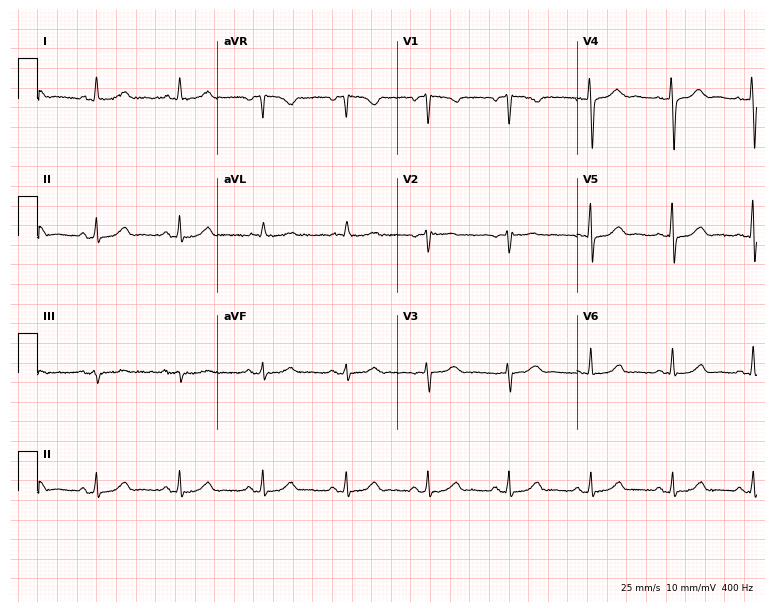
Resting 12-lead electrocardiogram (7.3-second recording at 400 Hz). Patient: a 60-year-old female. Read as a normal ECG.